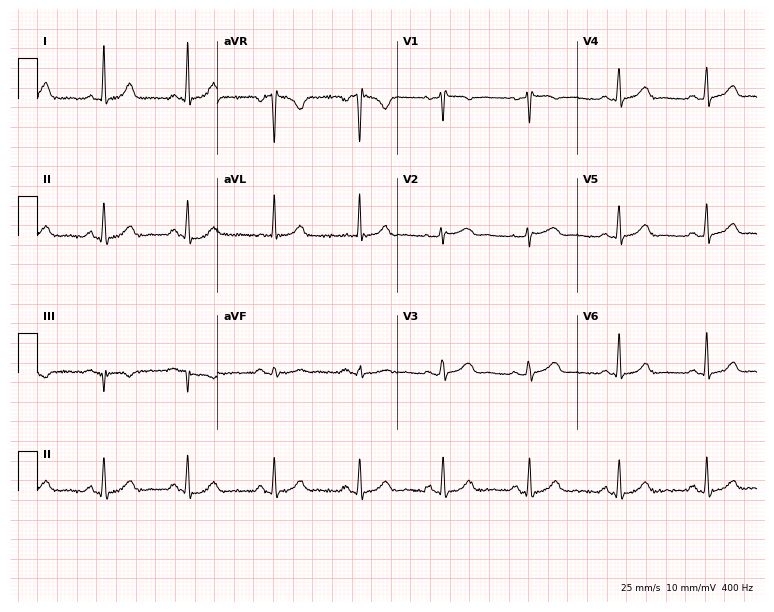
Electrocardiogram (7.3-second recording at 400 Hz), a 58-year-old female patient. Of the six screened findings (first-degree AV block, right bundle branch block (RBBB), left bundle branch block (LBBB), sinus bradycardia, atrial fibrillation (AF), sinus tachycardia), none is recorded.